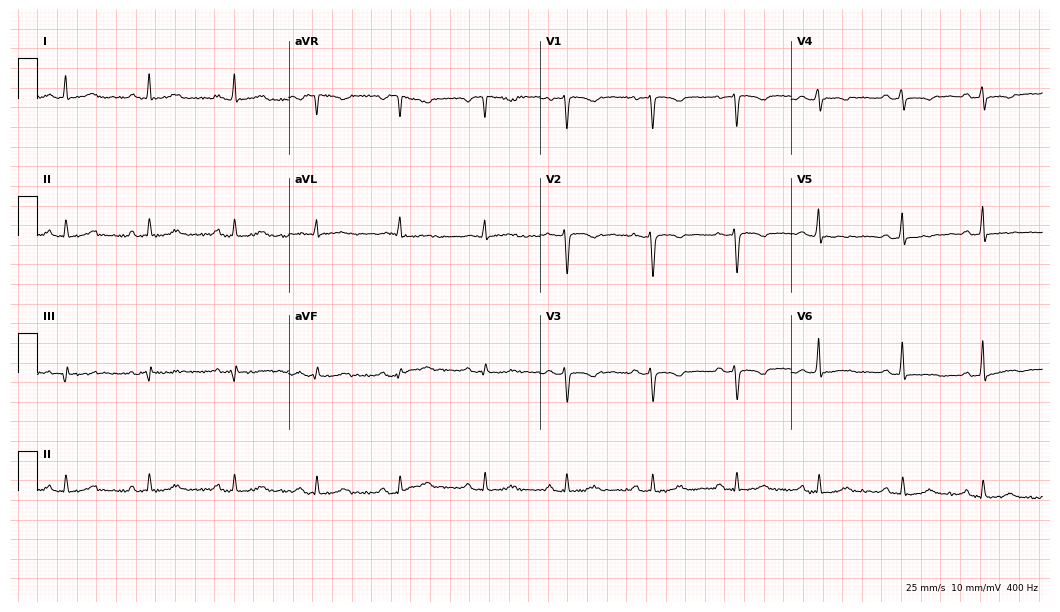
Standard 12-lead ECG recorded from a woman, 47 years old. None of these six findings is recorded: first-degree AV block, right bundle branch block, left bundle branch block, sinus bradycardia, atrial fibrillation, sinus tachycardia. Other findings, if any, are not listed.